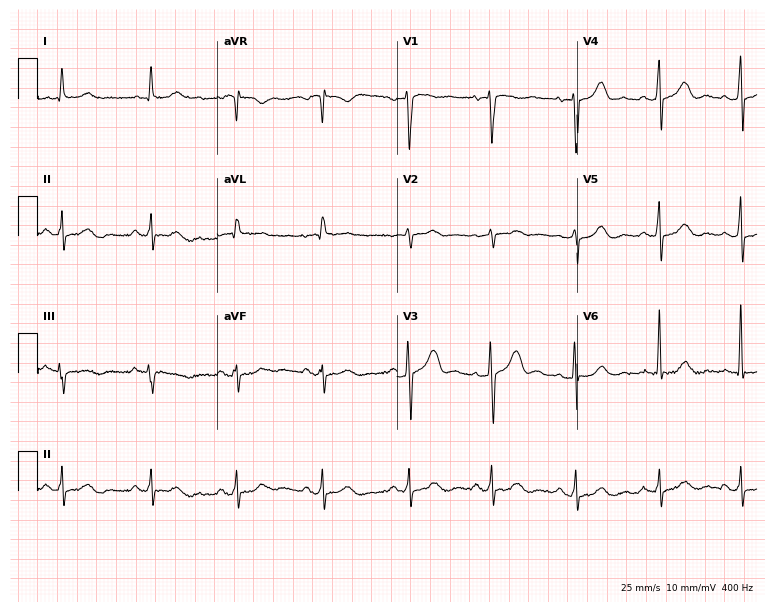
12-lead ECG from a female, 77 years old. No first-degree AV block, right bundle branch block, left bundle branch block, sinus bradycardia, atrial fibrillation or sinus tachycardia recorded for this tracing.